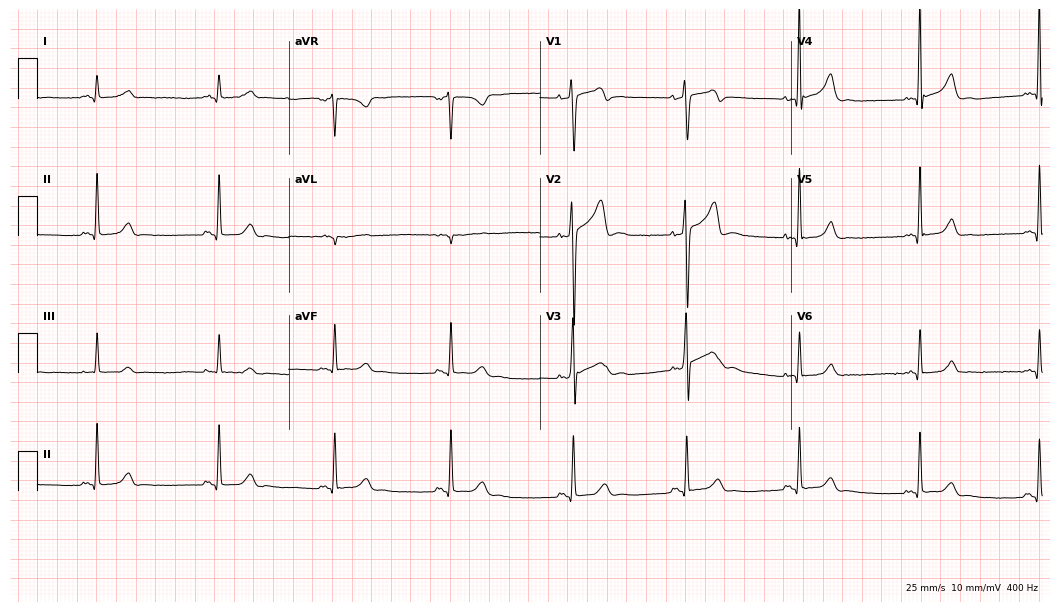
12-lead ECG from a male patient, 41 years old (10.2-second recording at 400 Hz). Shows sinus bradycardia (a sinus rate of 50 beats per minute or less).